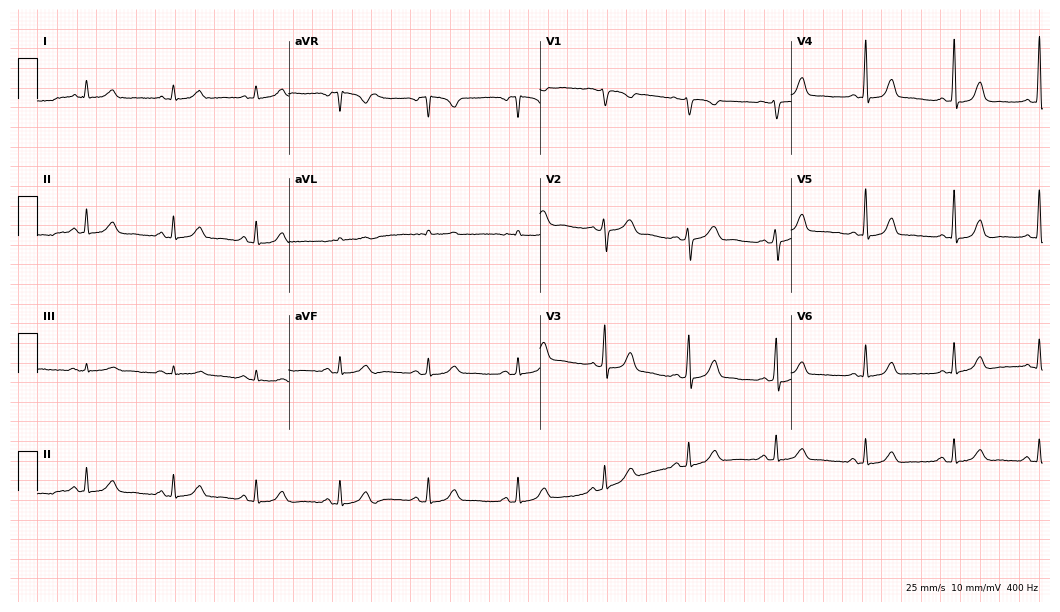
12-lead ECG from a woman, 53 years old. Labelled as a normal ECG.